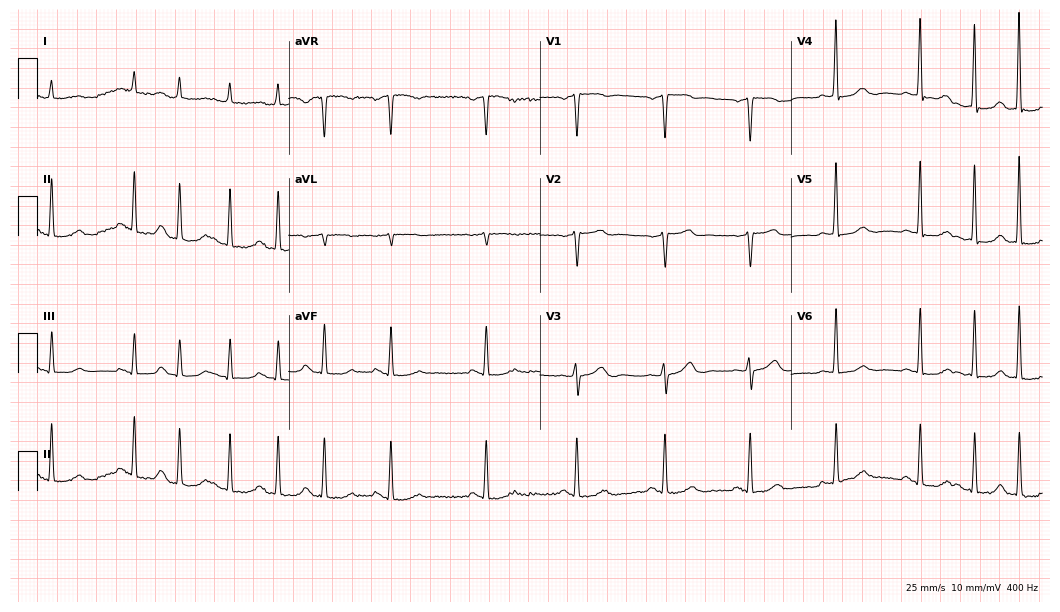
Resting 12-lead electrocardiogram (10.2-second recording at 400 Hz). Patient: a female, 67 years old. The tracing shows atrial fibrillation.